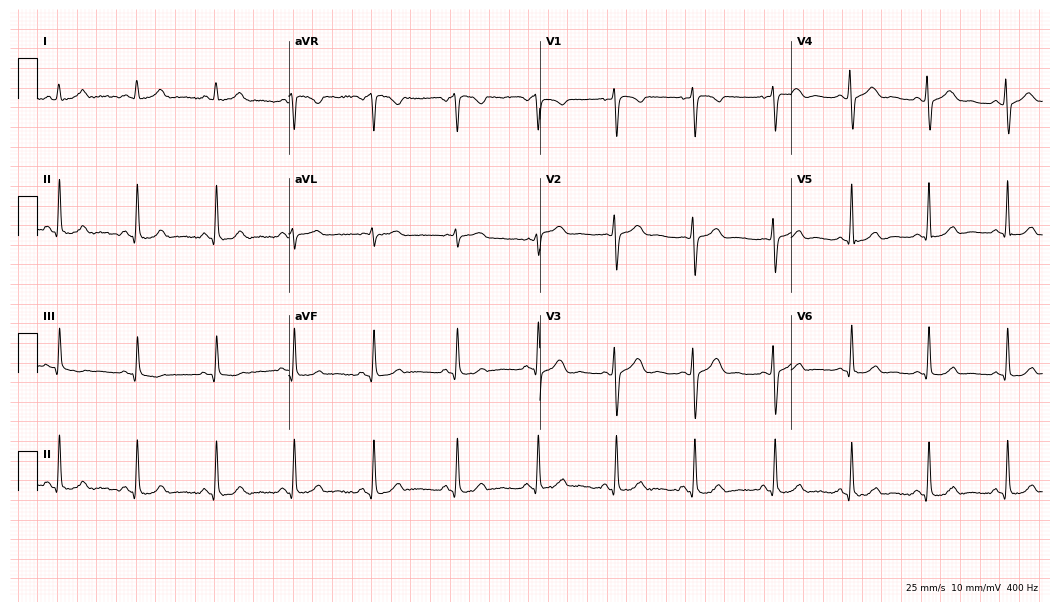
Electrocardiogram (10.2-second recording at 400 Hz), a female patient, 27 years old. Overall reading on record: normal ECG.